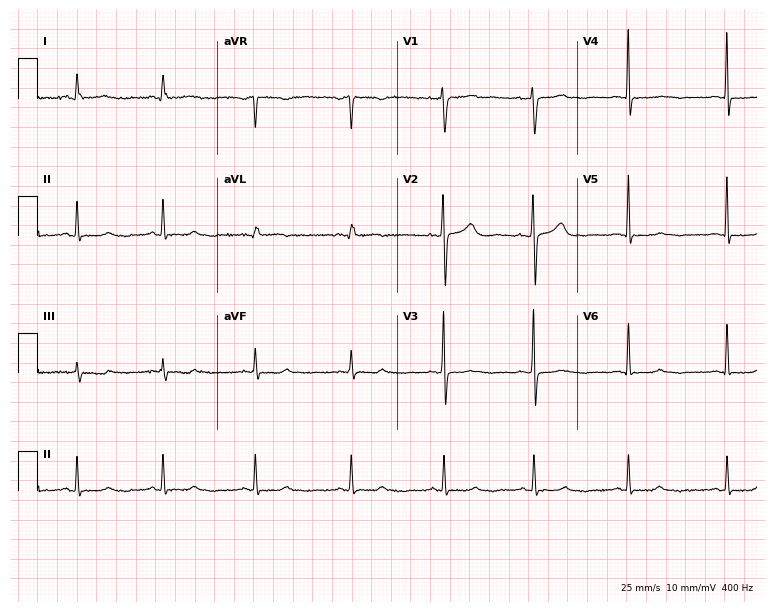
Standard 12-lead ECG recorded from a female patient, 46 years old. Read as a normal ECG.